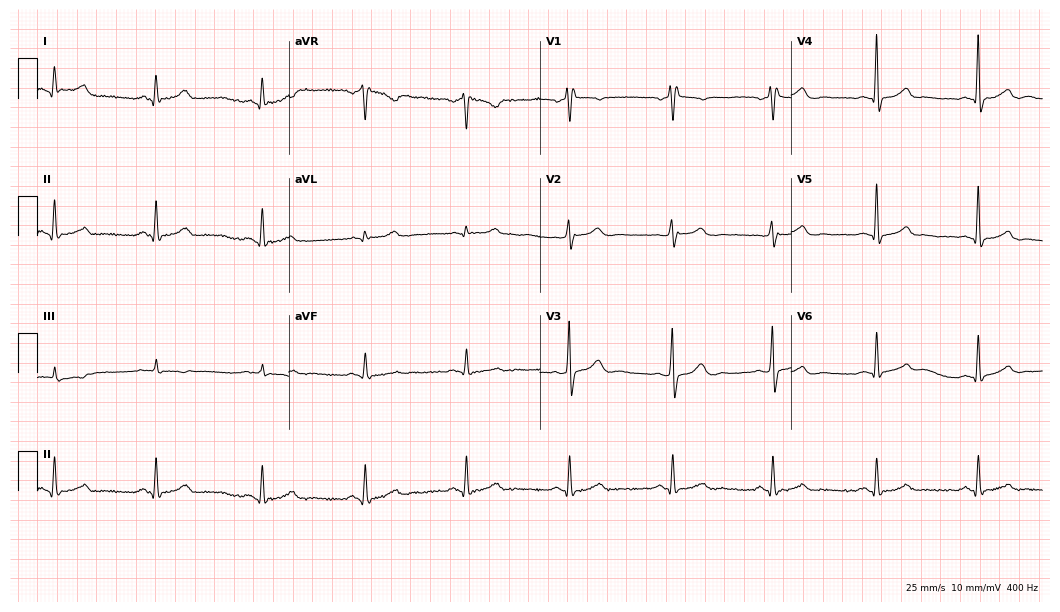
Resting 12-lead electrocardiogram (10.2-second recording at 400 Hz). Patient: a male, 57 years old. None of these six findings is recorded: first-degree AV block, right bundle branch block, left bundle branch block, sinus bradycardia, atrial fibrillation, sinus tachycardia. Findings outside these six are not listed.